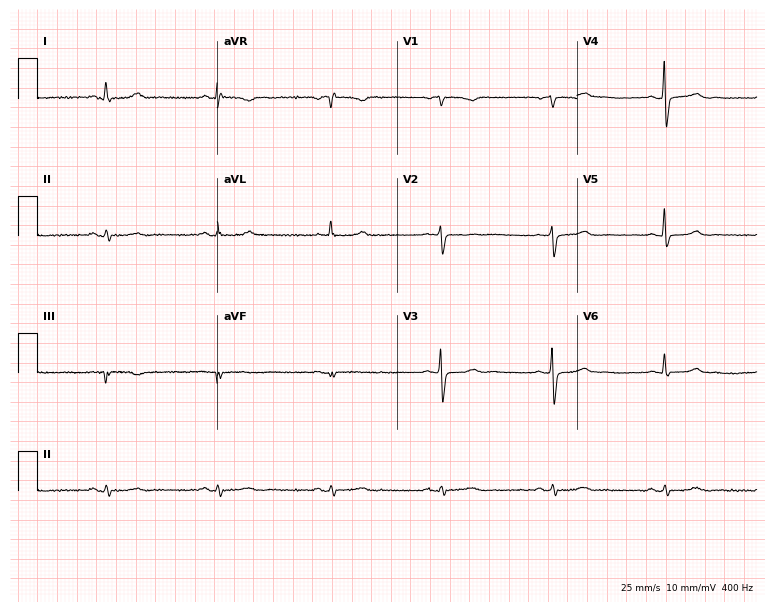
Standard 12-lead ECG recorded from a 58-year-old woman (7.3-second recording at 400 Hz). None of these six findings is recorded: first-degree AV block, right bundle branch block (RBBB), left bundle branch block (LBBB), sinus bradycardia, atrial fibrillation (AF), sinus tachycardia. Other findings, if any, are not listed.